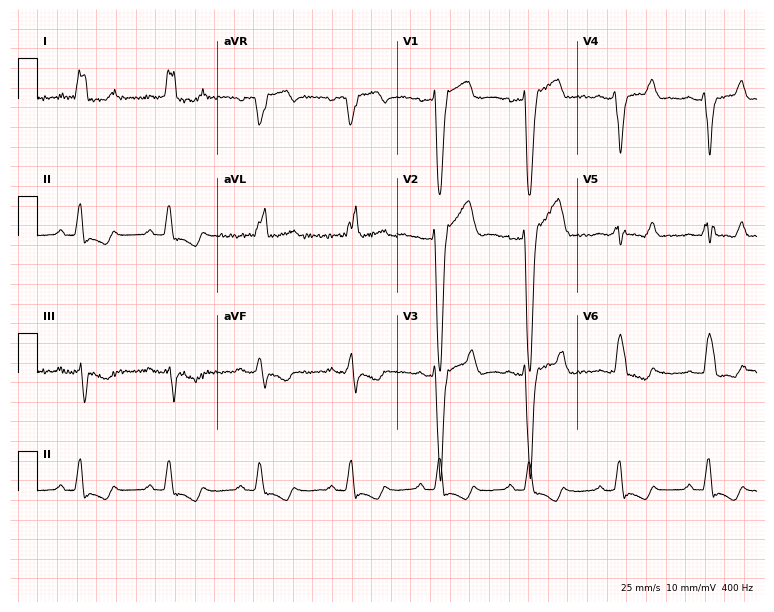
Standard 12-lead ECG recorded from a female, 60 years old (7.3-second recording at 400 Hz). The tracing shows left bundle branch block (LBBB).